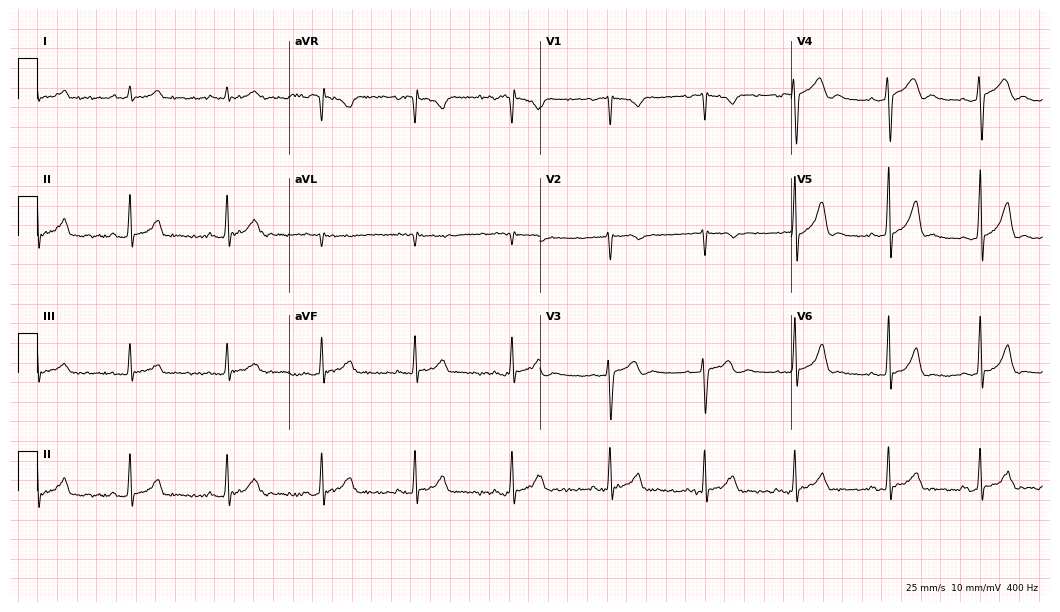
Resting 12-lead electrocardiogram (10.2-second recording at 400 Hz). Patient: a female, 38 years old. Read as a normal ECG.